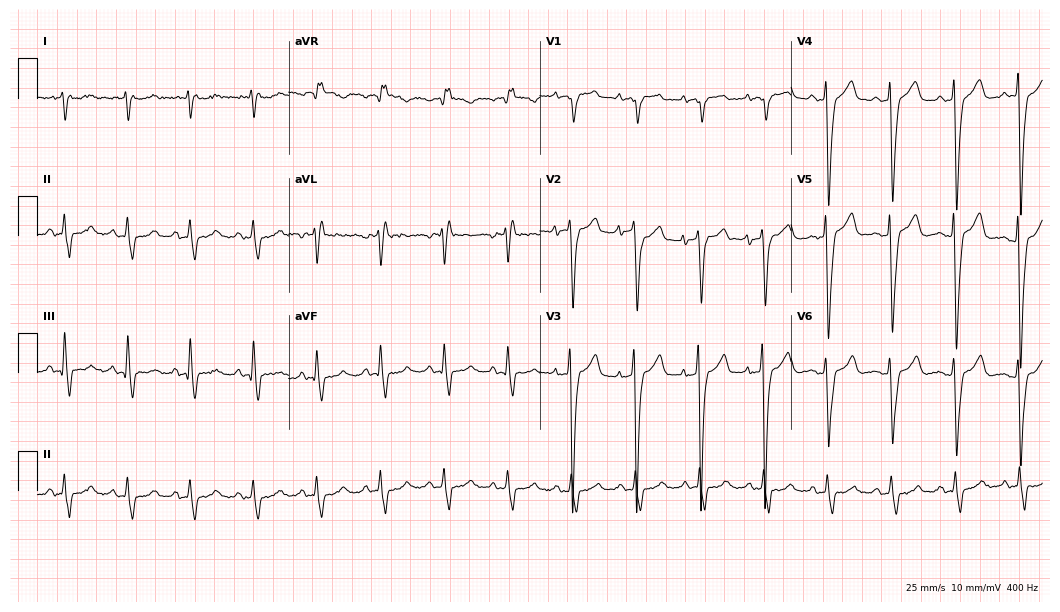
ECG (10.2-second recording at 400 Hz) — a female, 78 years old. Screened for six findings — first-degree AV block, right bundle branch block, left bundle branch block, sinus bradycardia, atrial fibrillation, sinus tachycardia — none is recorded. Other findings, if any, are not listed.